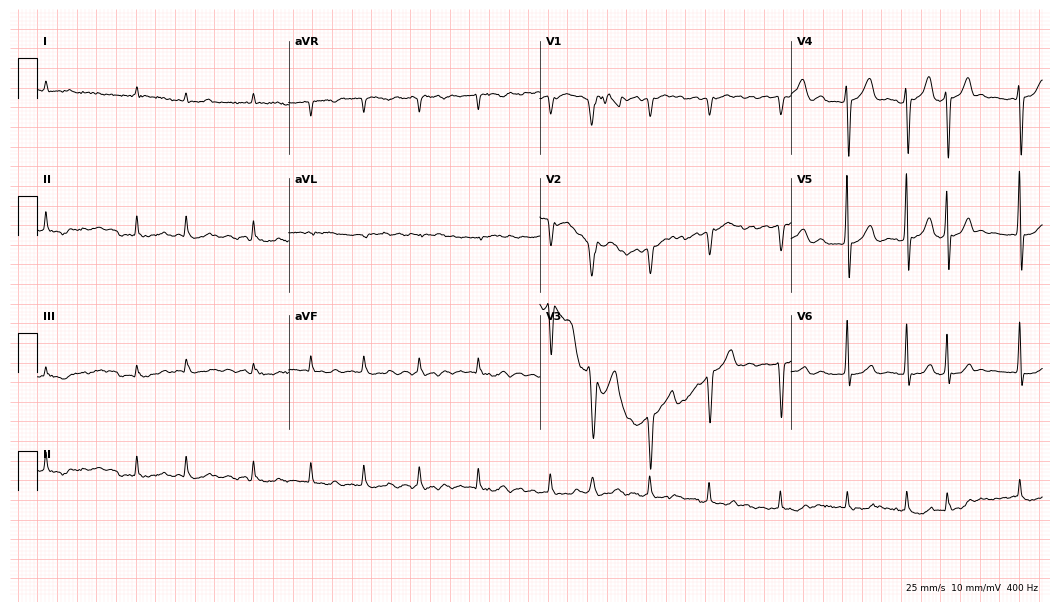
Standard 12-lead ECG recorded from a male patient, 82 years old. The tracing shows atrial fibrillation (AF).